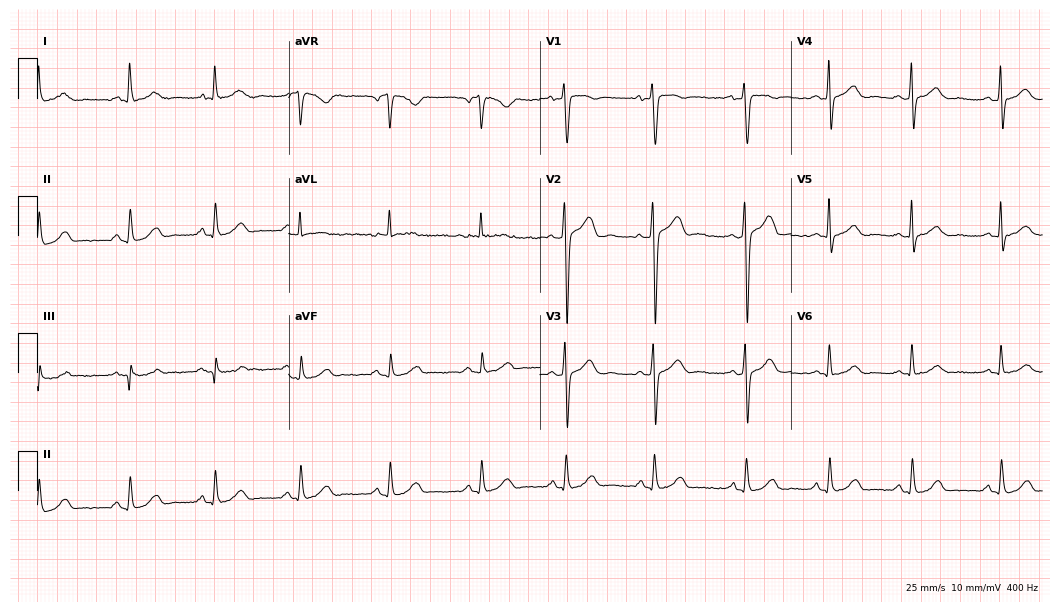
Electrocardiogram (10.2-second recording at 400 Hz), a 34-year-old female. Overall reading on record: normal ECG.